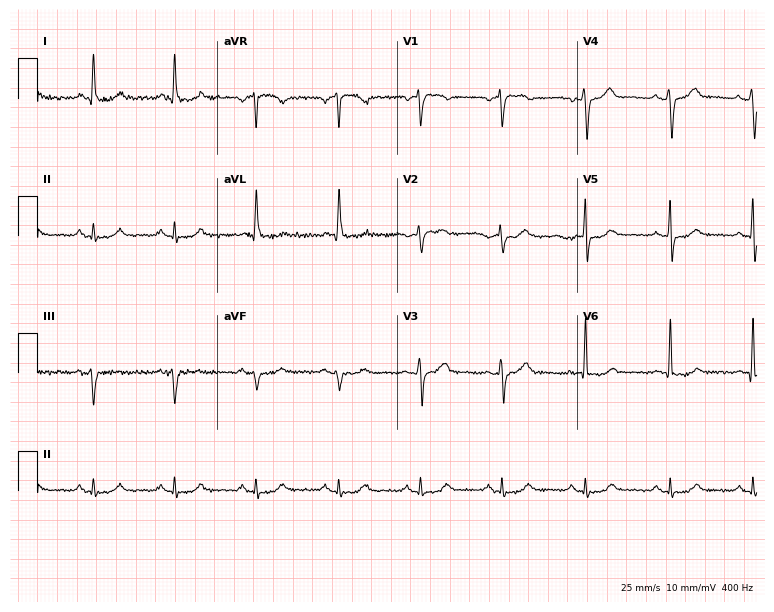
12-lead ECG from a woman, 55 years old. Labelled as a normal ECG.